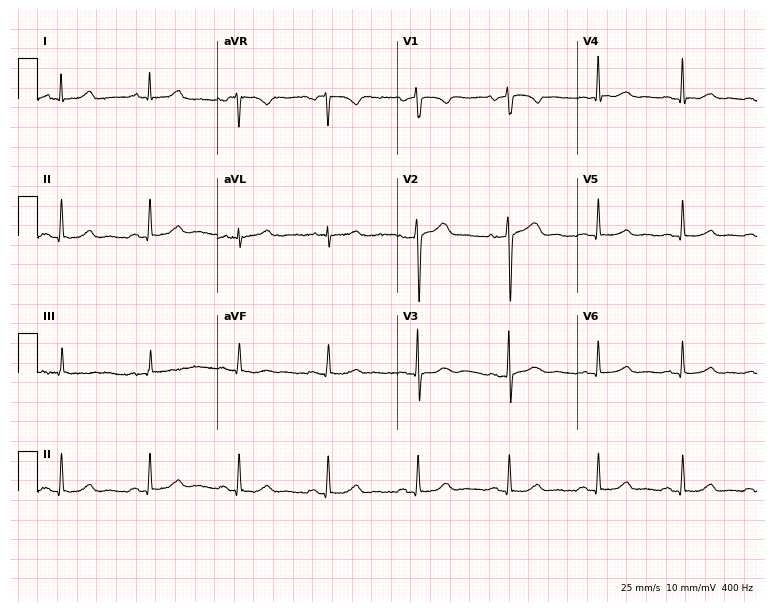
Resting 12-lead electrocardiogram (7.3-second recording at 400 Hz). Patient: a 74-year-old female. None of these six findings is recorded: first-degree AV block, right bundle branch block, left bundle branch block, sinus bradycardia, atrial fibrillation, sinus tachycardia.